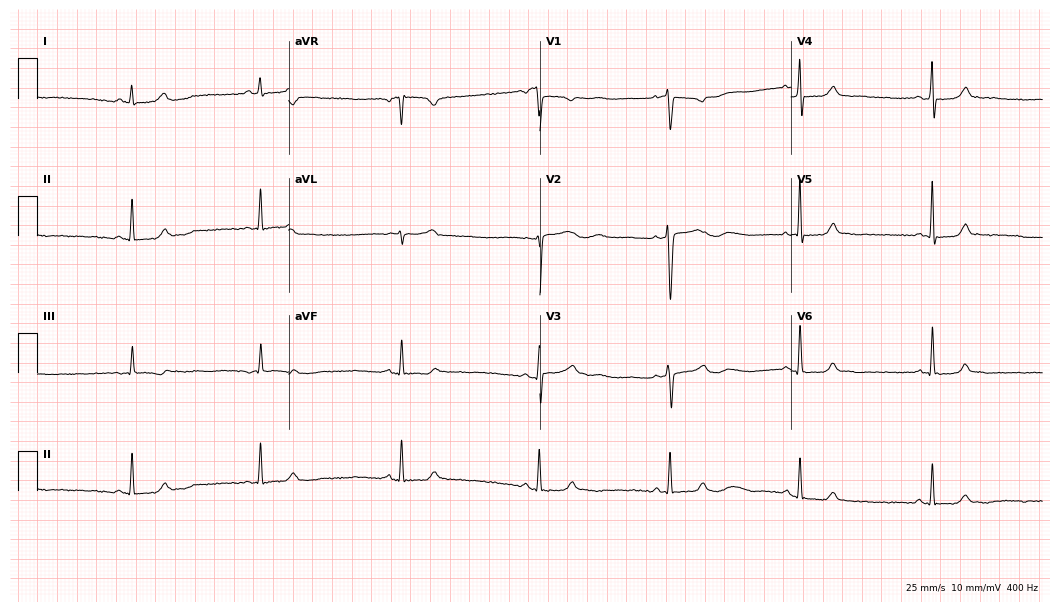
Standard 12-lead ECG recorded from a 47-year-old female (10.2-second recording at 400 Hz). The tracing shows sinus bradycardia (a sinus rate of 50 beats per minute or less).